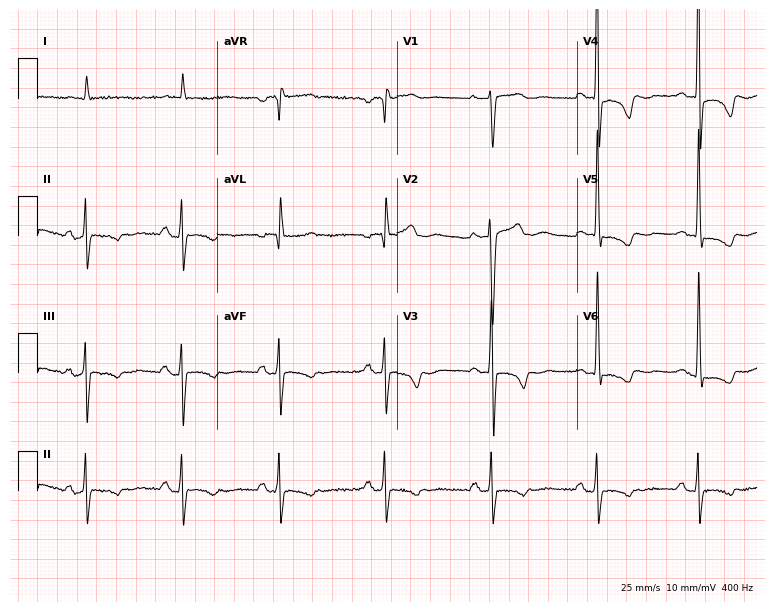
ECG — a woman, 85 years old. Screened for six findings — first-degree AV block, right bundle branch block (RBBB), left bundle branch block (LBBB), sinus bradycardia, atrial fibrillation (AF), sinus tachycardia — none is recorded. Other findings, if any, are not listed.